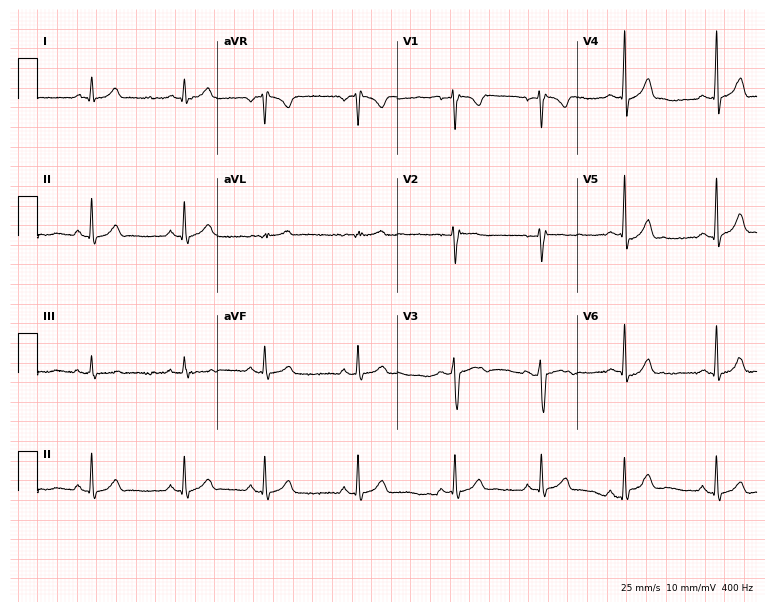
ECG (7.3-second recording at 400 Hz) — a 19-year-old man. Labelled as a normal ECG.